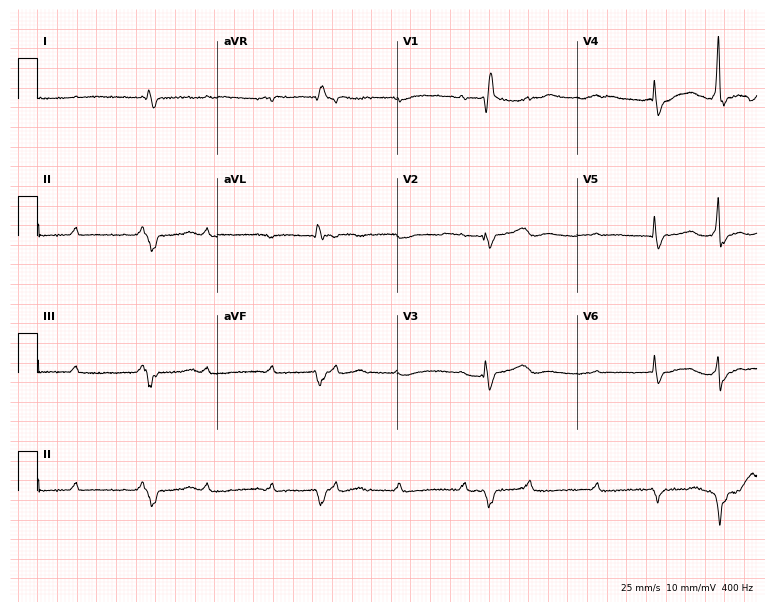
Electrocardiogram (7.3-second recording at 400 Hz), a 61-year-old man. Interpretation includes right bundle branch block.